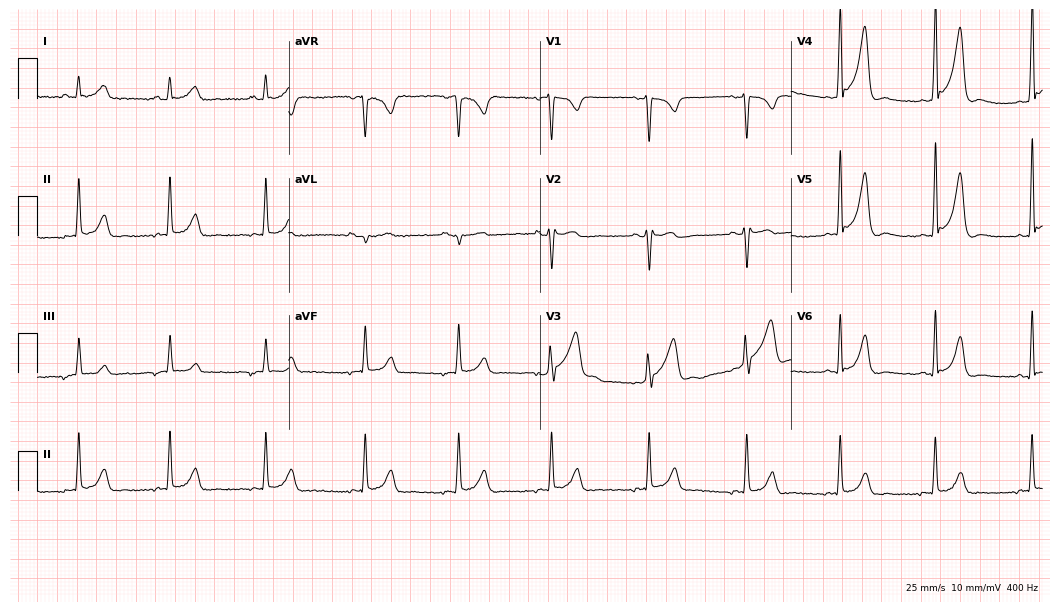
Electrocardiogram (10.2-second recording at 400 Hz), a 31-year-old male patient. Of the six screened findings (first-degree AV block, right bundle branch block, left bundle branch block, sinus bradycardia, atrial fibrillation, sinus tachycardia), none is recorded. Other findings, if any, are not listed.